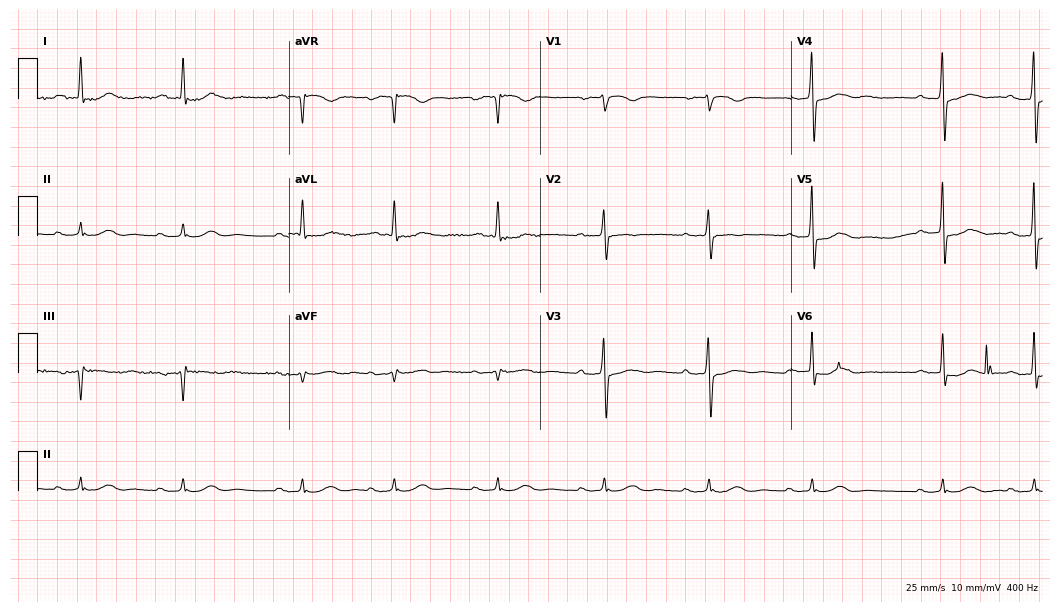
Electrocardiogram (10.2-second recording at 400 Hz), a woman, 74 years old. Interpretation includes first-degree AV block.